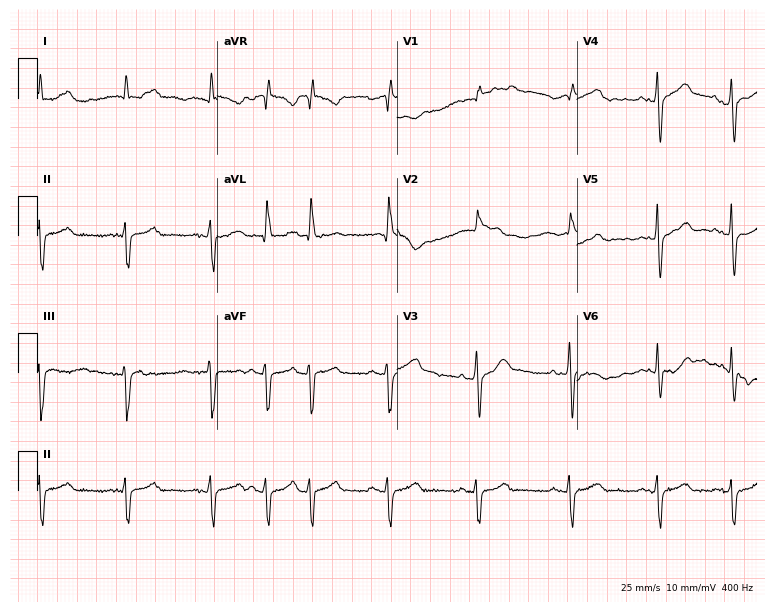
12-lead ECG from a 79-year-old female patient. Shows right bundle branch block.